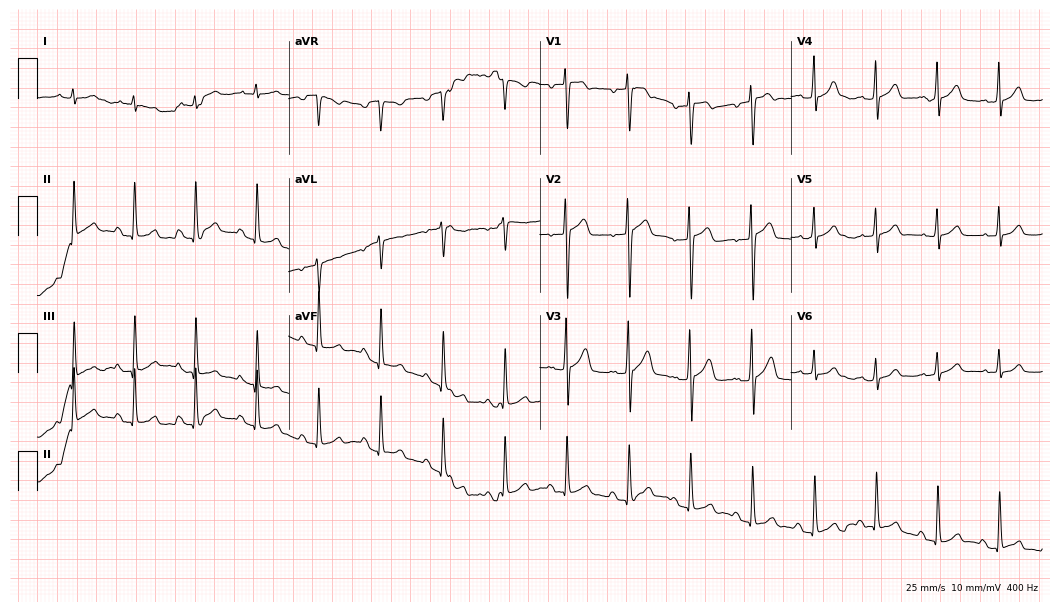
ECG (10.2-second recording at 400 Hz) — a male patient, 59 years old. Labelled as a normal ECG.